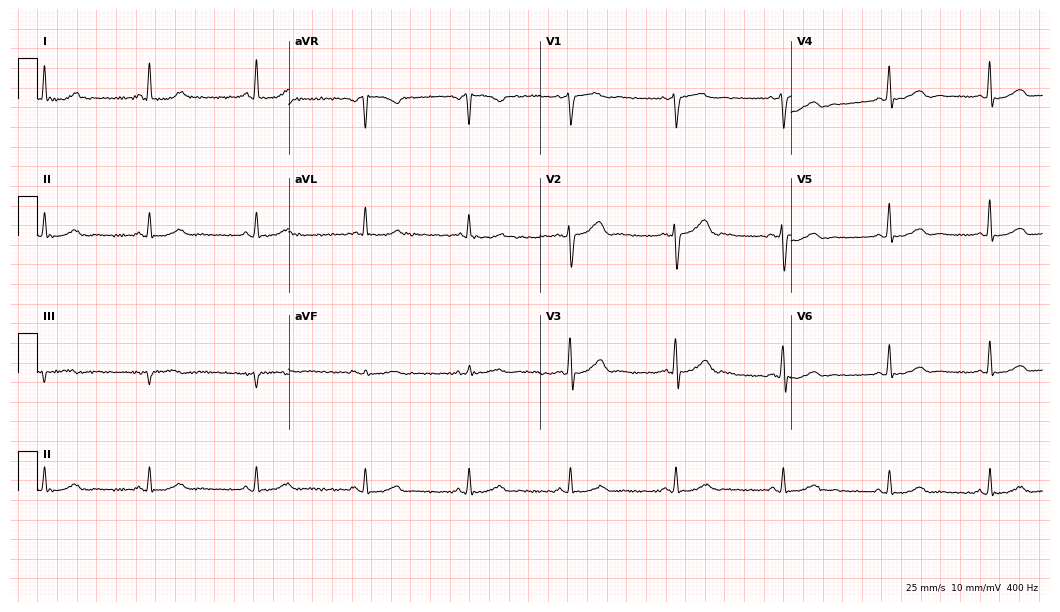
Electrocardiogram, a woman, 39 years old. Overall reading on record: normal ECG.